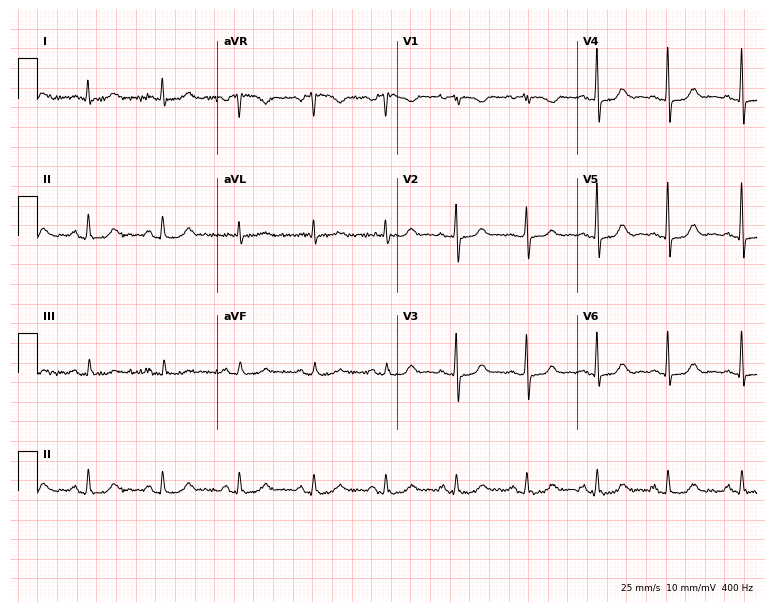
Resting 12-lead electrocardiogram (7.3-second recording at 400 Hz). Patient: a female, 58 years old. Read as a normal ECG.